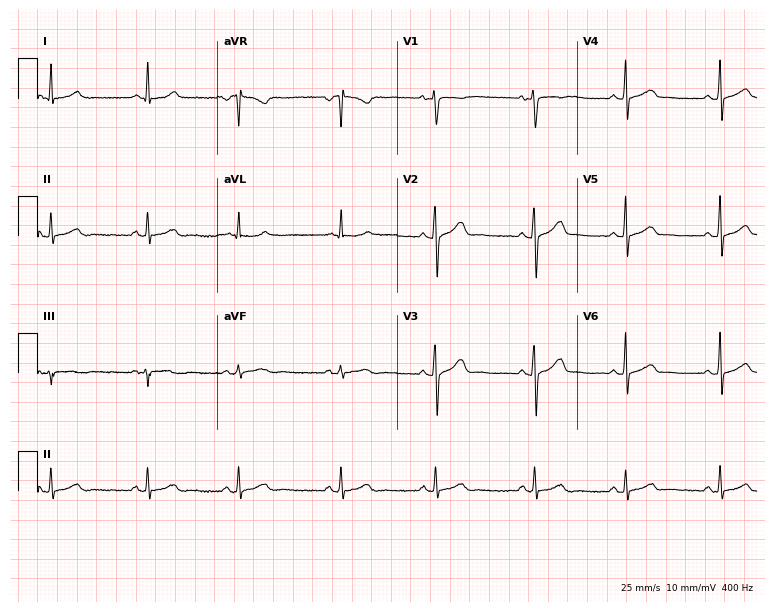
Resting 12-lead electrocardiogram (7.3-second recording at 400 Hz). Patient: a female, 26 years old. Read as a normal ECG.